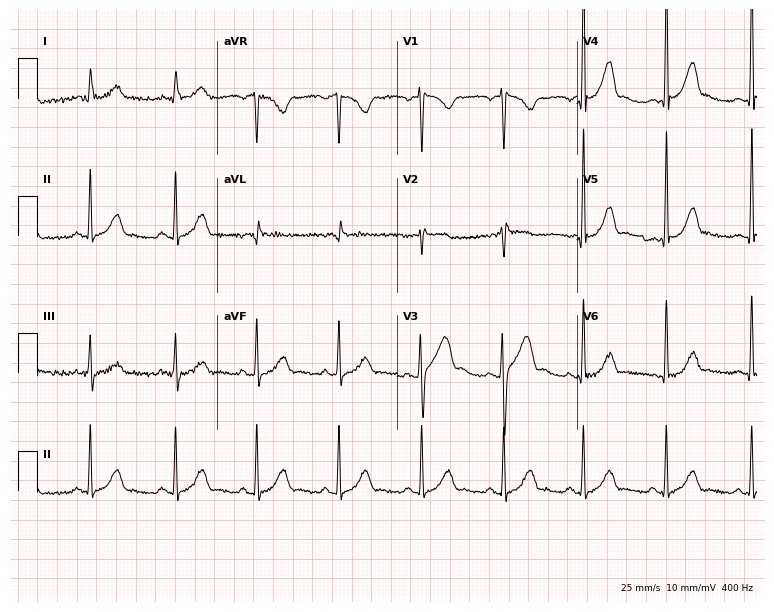
ECG — a male, 45 years old. Labelled as a normal ECG.